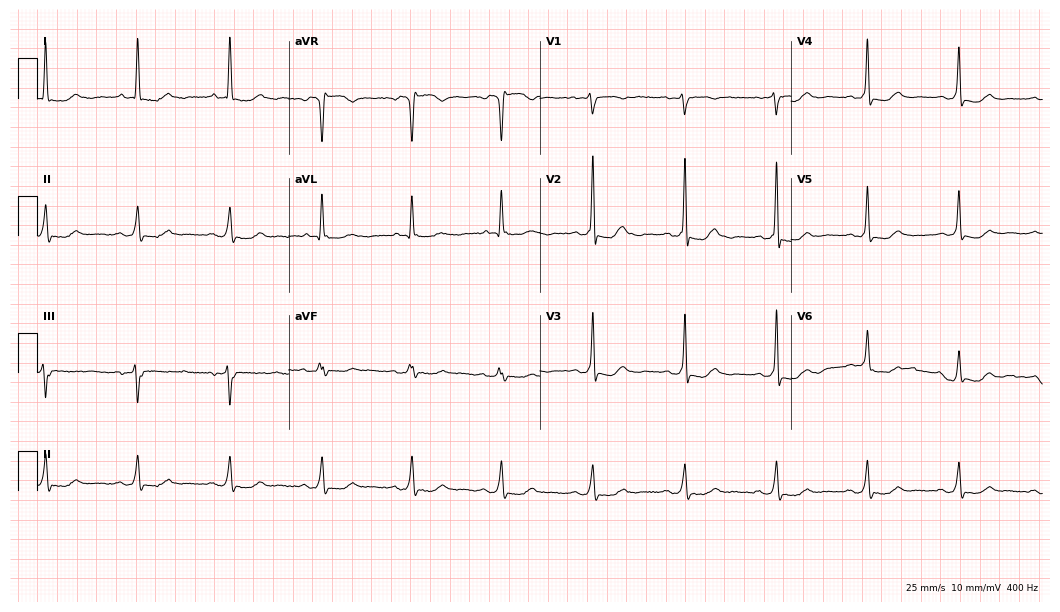
Standard 12-lead ECG recorded from a female patient, 69 years old (10.2-second recording at 400 Hz). None of these six findings is recorded: first-degree AV block, right bundle branch block (RBBB), left bundle branch block (LBBB), sinus bradycardia, atrial fibrillation (AF), sinus tachycardia. Findings outside these six are not listed.